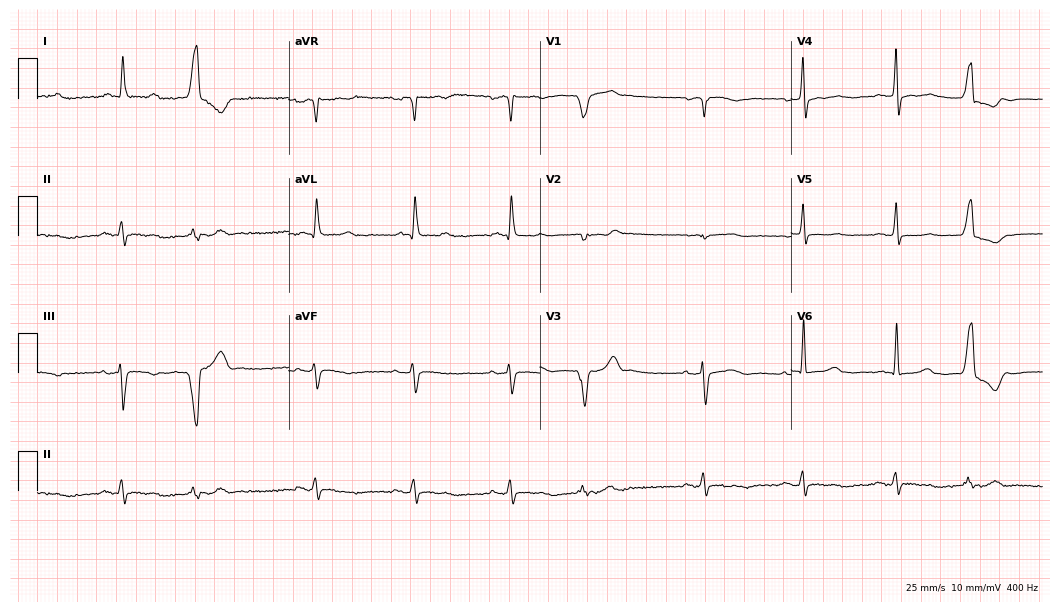
Resting 12-lead electrocardiogram. Patient: a 71-year-old female. Read as a normal ECG.